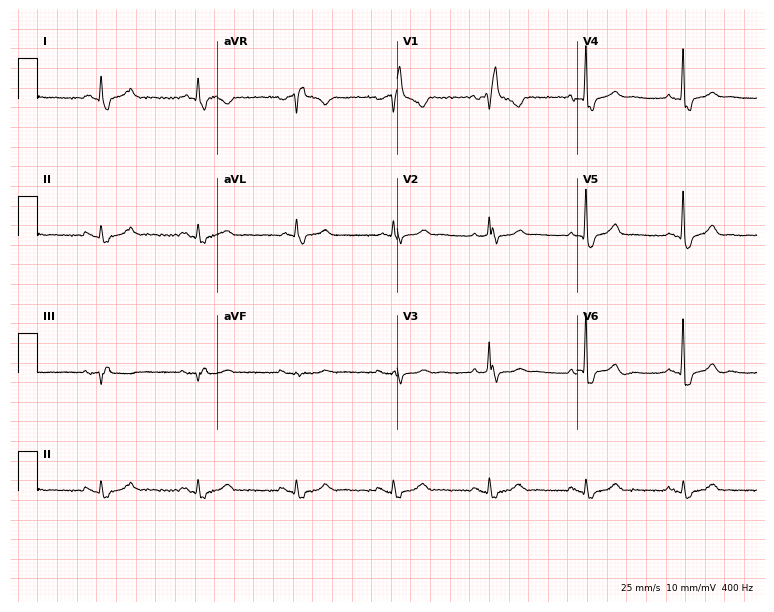
12-lead ECG from a male patient, 76 years old (7.3-second recording at 400 Hz). Shows right bundle branch block.